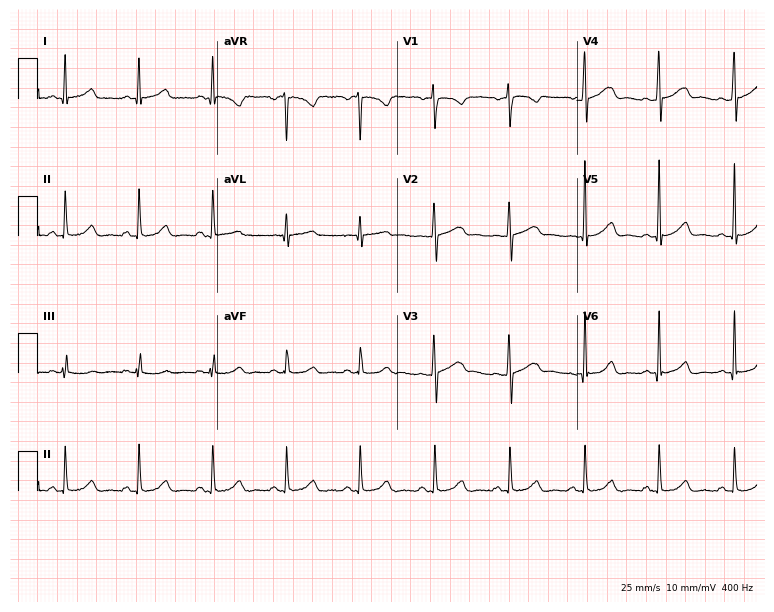
12-lead ECG from a 36-year-old female patient (7.3-second recording at 400 Hz). Recorded interpretation: within normal limits.